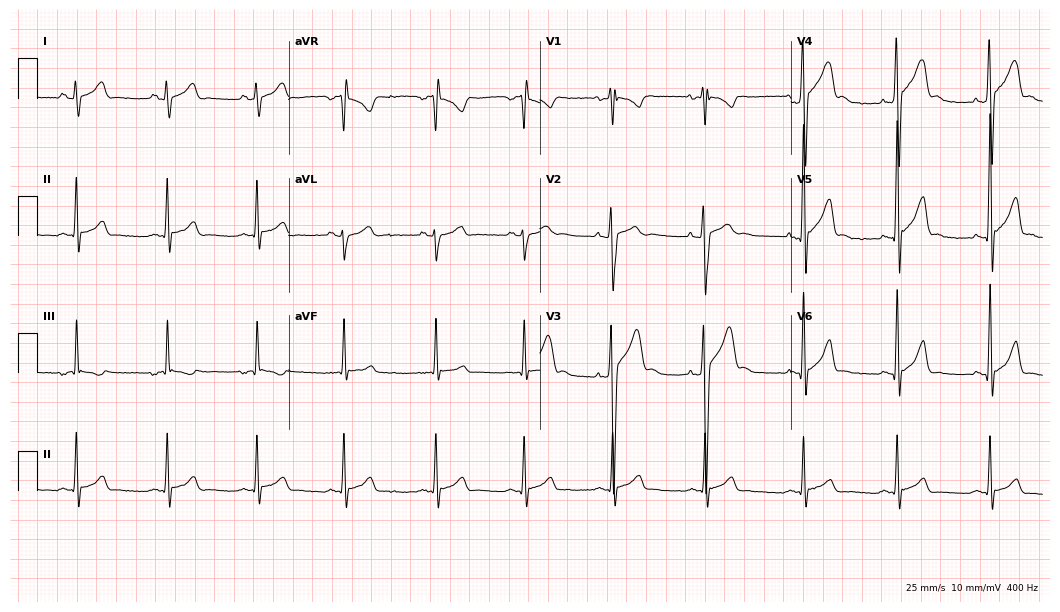
Resting 12-lead electrocardiogram. Patient: a male, 17 years old. Read as a normal ECG.